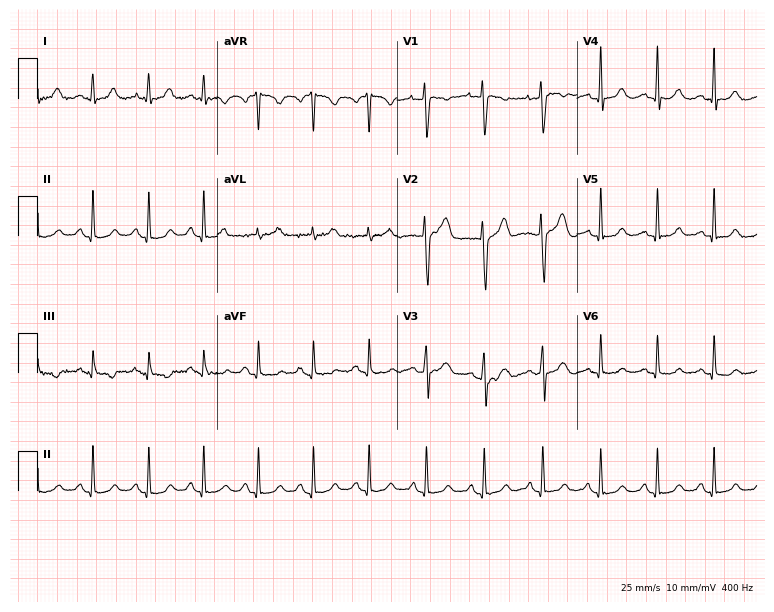
Standard 12-lead ECG recorded from a female patient, 29 years old. The tracing shows sinus tachycardia (a sinus rate of 100 beats per minute or more).